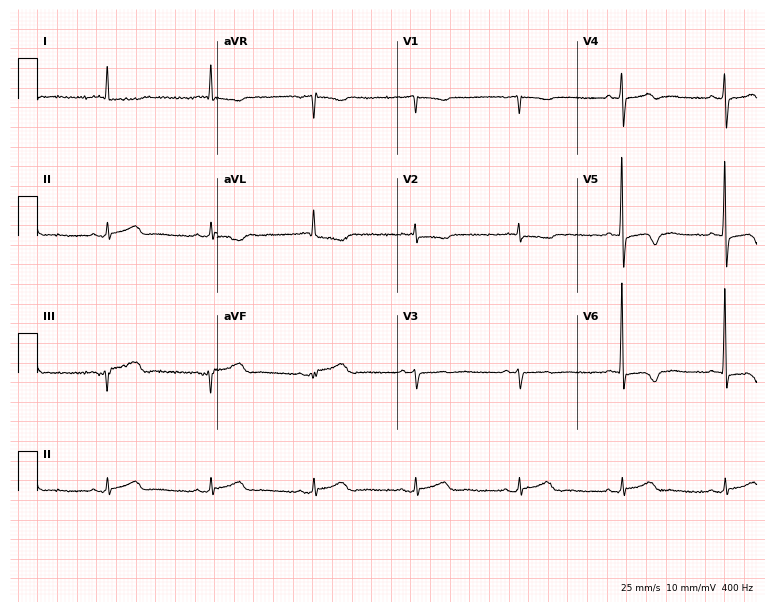
12-lead ECG from a male patient, 85 years old (7.3-second recording at 400 Hz). No first-degree AV block, right bundle branch block (RBBB), left bundle branch block (LBBB), sinus bradycardia, atrial fibrillation (AF) or sinus tachycardia recorded for this tracing. Findings outside these six are not listed.